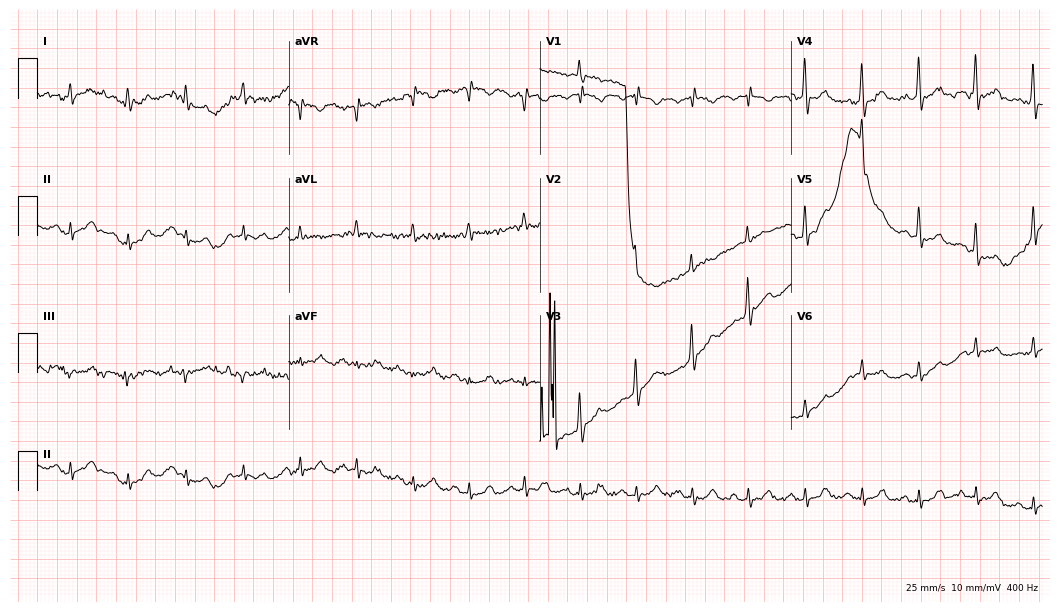
ECG (10.2-second recording at 400 Hz) — a 74-year-old male. Labelled as a normal ECG.